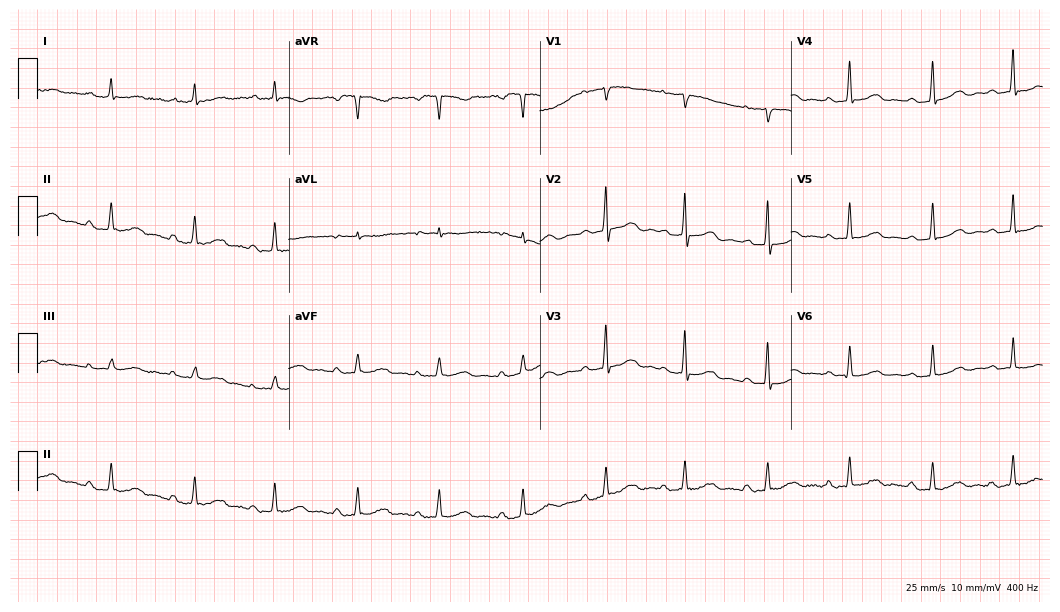
ECG — a 46-year-old female patient. Findings include first-degree AV block.